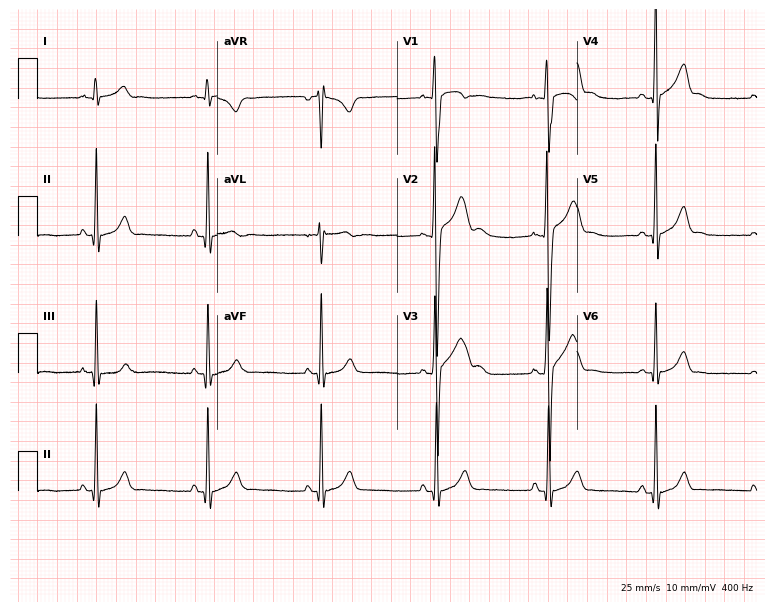
12-lead ECG from a male, 17 years old (7.3-second recording at 400 Hz). Recorded interpretation: within normal limits.